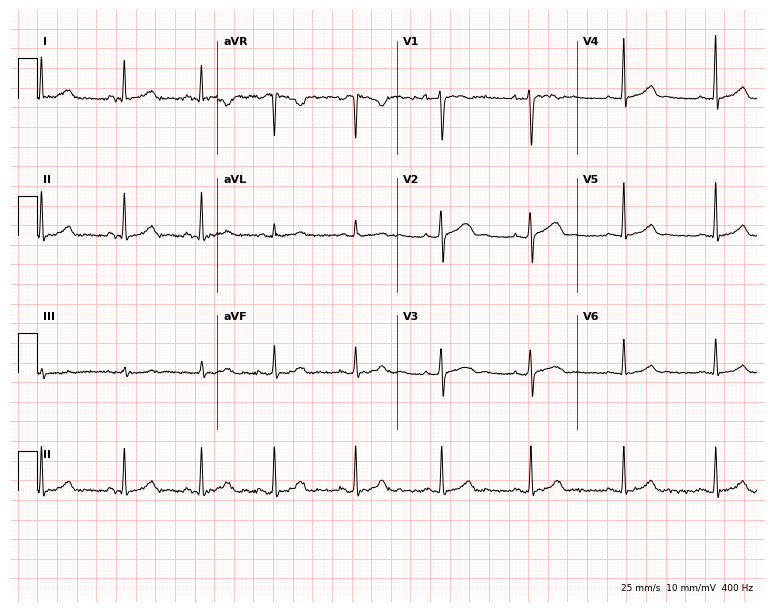
ECG (7.3-second recording at 400 Hz) — a female, 31 years old. Labelled as a normal ECG.